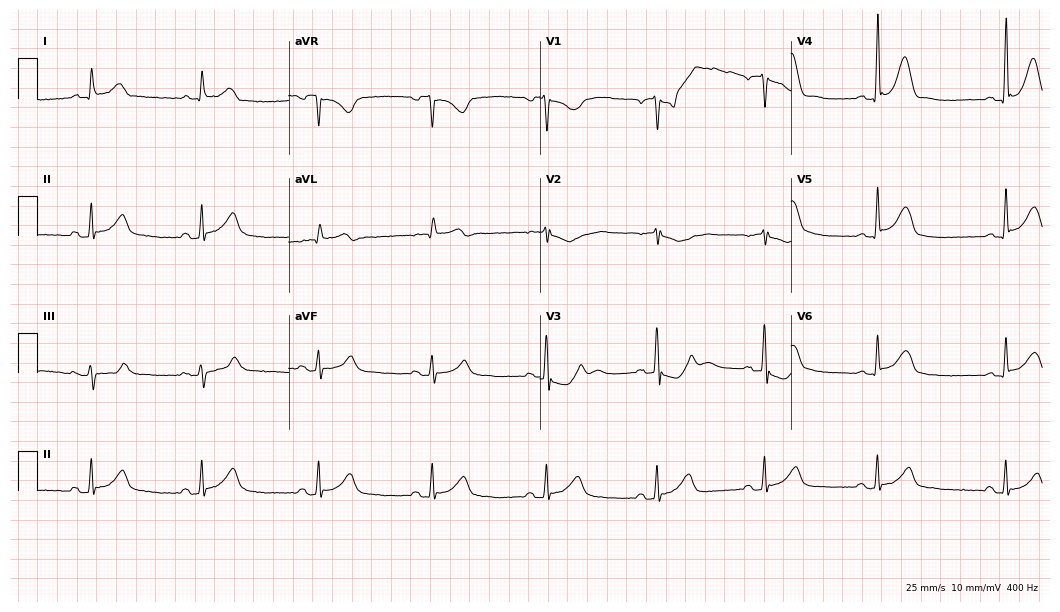
Electrocardiogram (10.2-second recording at 400 Hz), a male patient, 59 years old. Of the six screened findings (first-degree AV block, right bundle branch block (RBBB), left bundle branch block (LBBB), sinus bradycardia, atrial fibrillation (AF), sinus tachycardia), none is recorded. Only these six findings were labelled.